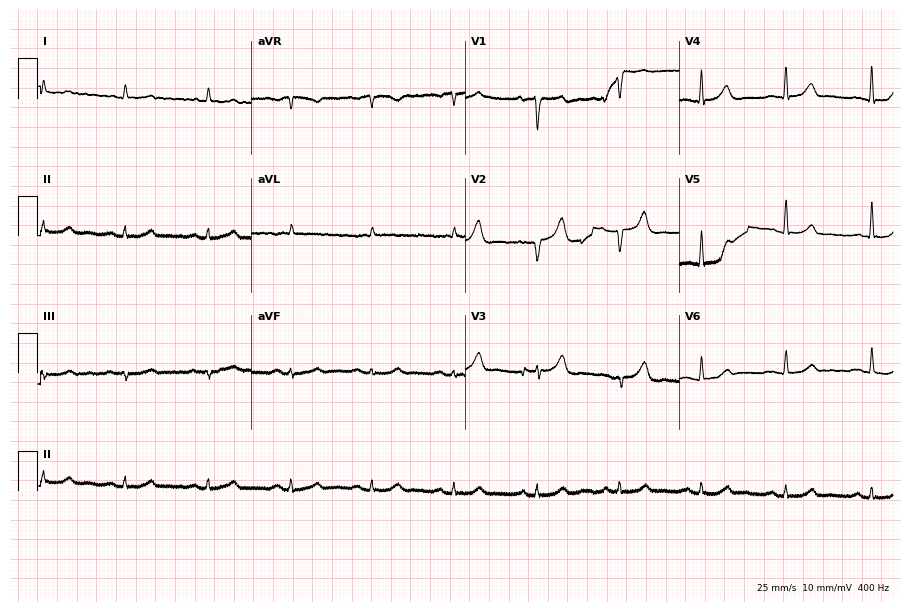
Standard 12-lead ECG recorded from a man, 83 years old (8.7-second recording at 400 Hz). None of these six findings is recorded: first-degree AV block, right bundle branch block (RBBB), left bundle branch block (LBBB), sinus bradycardia, atrial fibrillation (AF), sinus tachycardia.